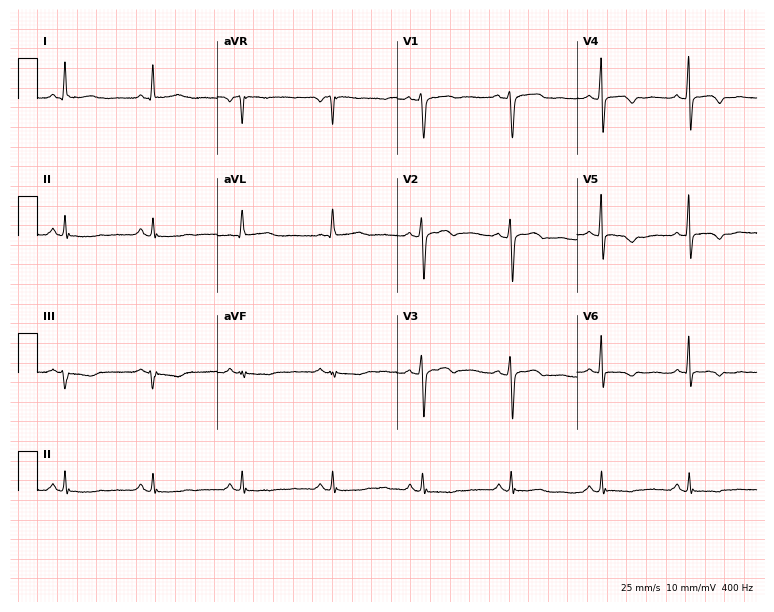
Standard 12-lead ECG recorded from a woman, 57 years old (7.3-second recording at 400 Hz). None of these six findings is recorded: first-degree AV block, right bundle branch block, left bundle branch block, sinus bradycardia, atrial fibrillation, sinus tachycardia.